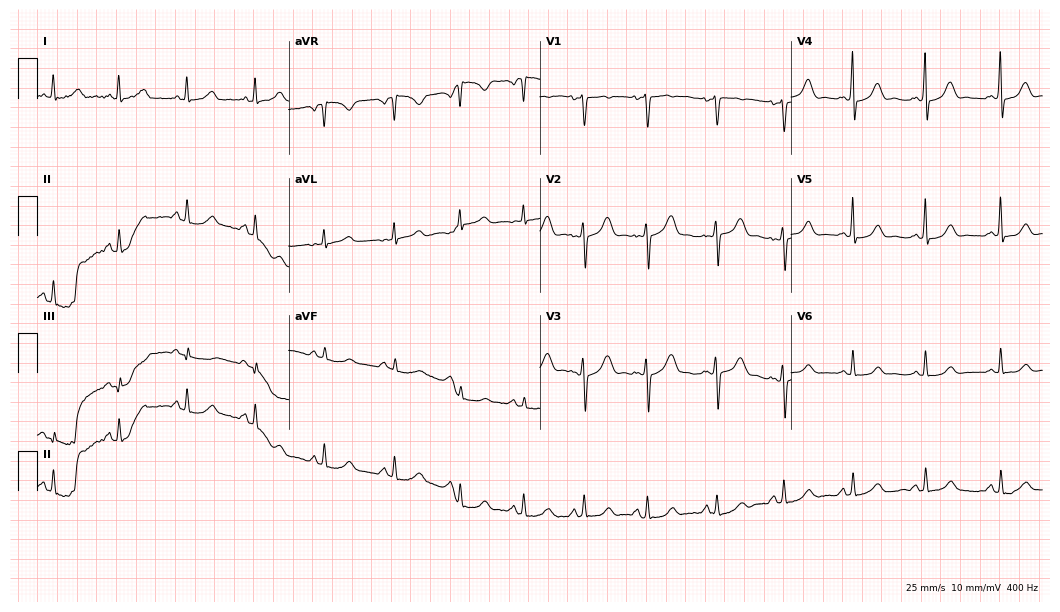
Standard 12-lead ECG recorded from a female, 44 years old (10.2-second recording at 400 Hz). None of these six findings is recorded: first-degree AV block, right bundle branch block (RBBB), left bundle branch block (LBBB), sinus bradycardia, atrial fibrillation (AF), sinus tachycardia. Other findings, if any, are not listed.